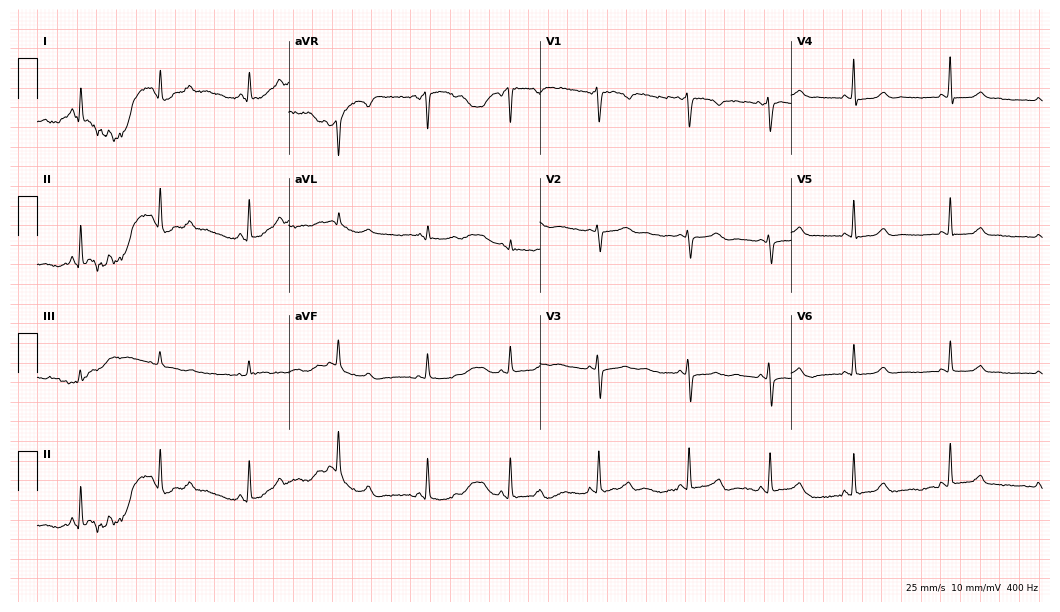
Electrocardiogram, a 23-year-old female patient. Of the six screened findings (first-degree AV block, right bundle branch block (RBBB), left bundle branch block (LBBB), sinus bradycardia, atrial fibrillation (AF), sinus tachycardia), none is recorded.